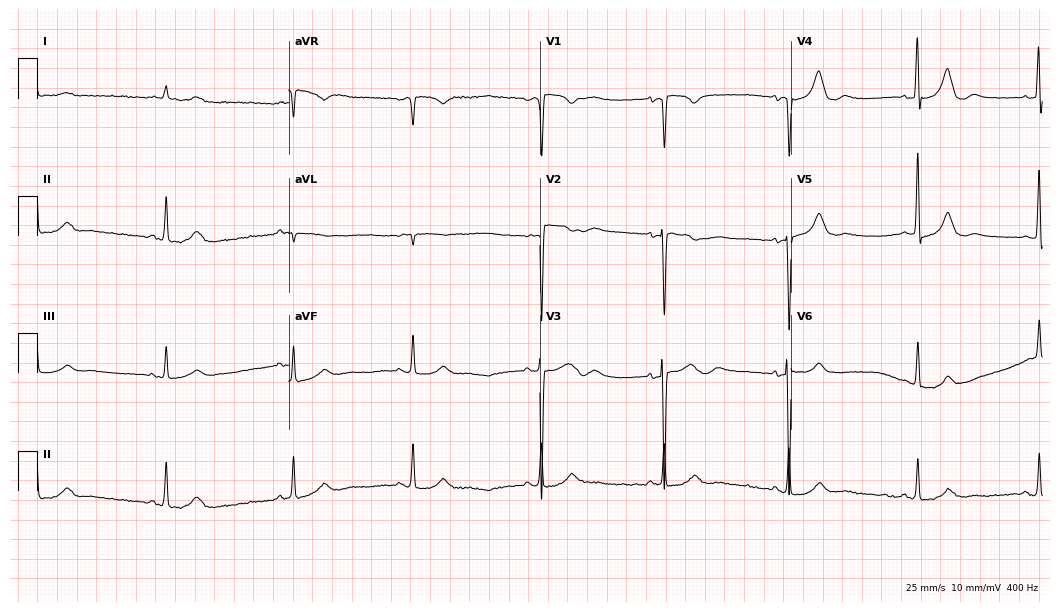
ECG — a female patient, 74 years old. Screened for six findings — first-degree AV block, right bundle branch block, left bundle branch block, sinus bradycardia, atrial fibrillation, sinus tachycardia — none is recorded.